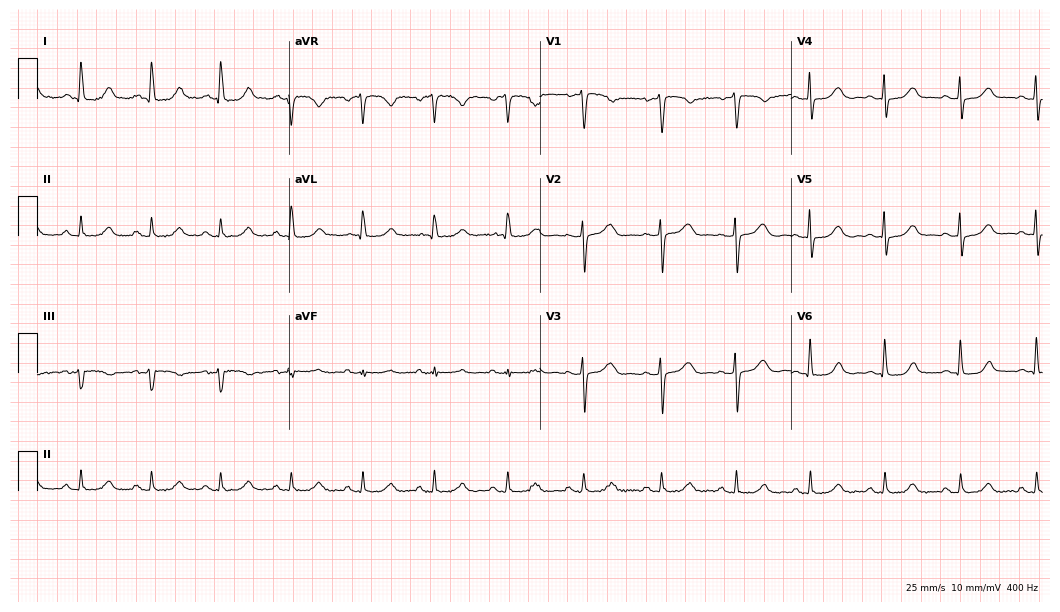
12-lead ECG from a 53-year-old woman (10.2-second recording at 400 Hz). Recorded interpretation: within normal limits.